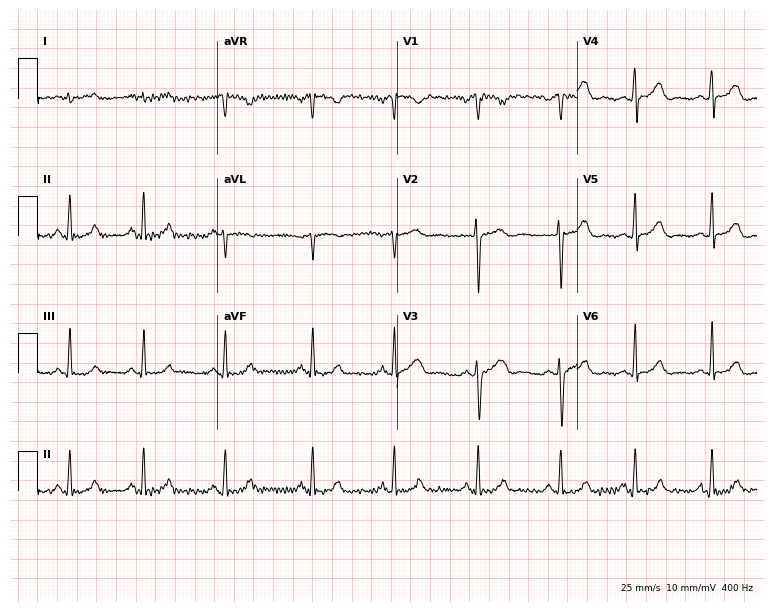
12-lead ECG (7.3-second recording at 400 Hz) from a female patient, 22 years old. Labelled as a normal ECG.